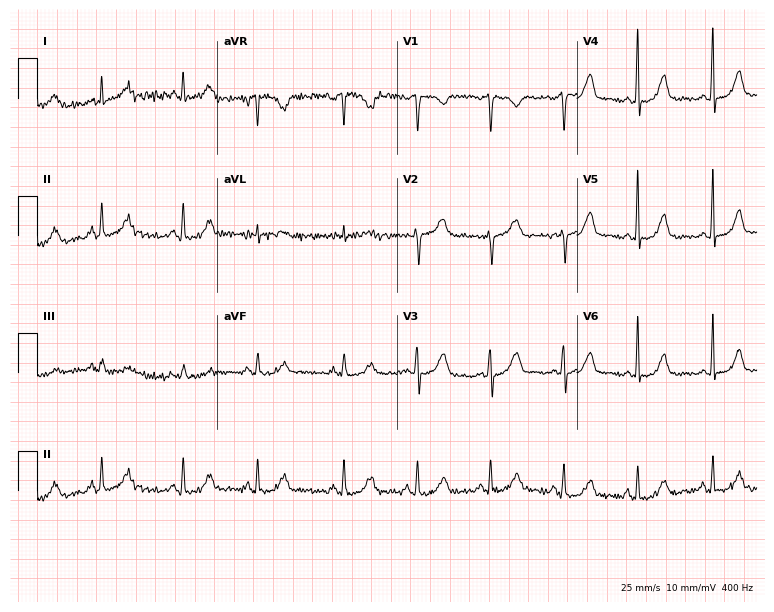
Electrocardiogram, a 43-year-old female. Of the six screened findings (first-degree AV block, right bundle branch block (RBBB), left bundle branch block (LBBB), sinus bradycardia, atrial fibrillation (AF), sinus tachycardia), none is recorded. Findings outside these six are not listed.